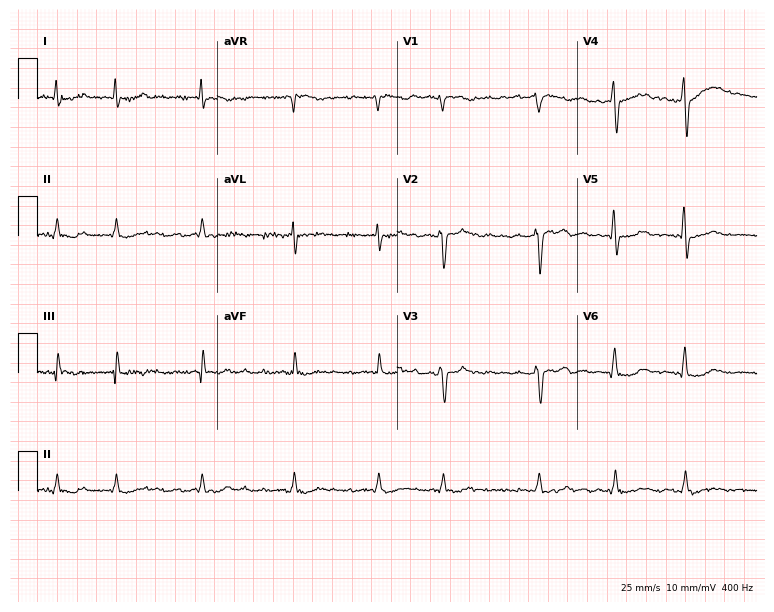
12-lead ECG (7.3-second recording at 400 Hz) from a 67-year-old male. Findings include atrial fibrillation (AF).